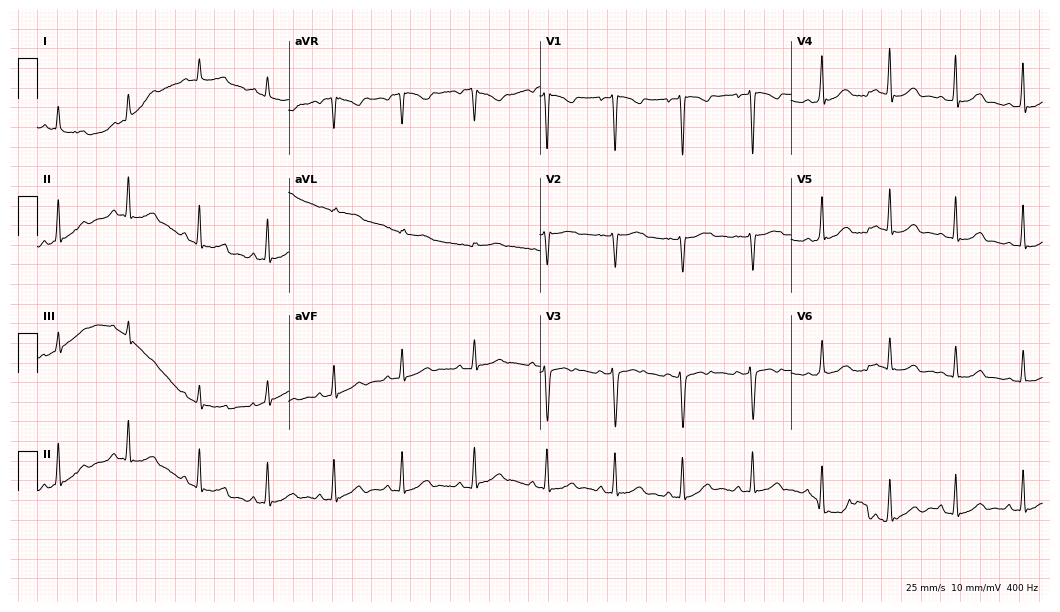
Electrocardiogram (10.2-second recording at 400 Hz), a female patient, 23 years old. Of the six screened findings (first-degree AV block, right bundle branch block, left bundle branch block, sinus bradycardia, atrial fibrillation, sinus tachycardia), none is recorded. Only these six findings were labelled.